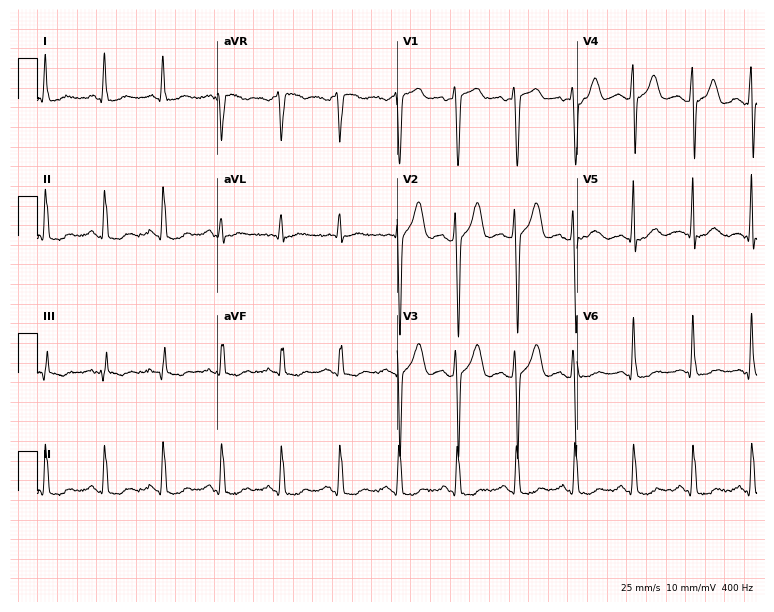
Resting 12-lead electrocardiogram (7.3-second recording at 400 Hz). Patient: a male, 61 years old. The tracing shows sinus tachycardia (a sinus rate of 100 beats per minute or more).